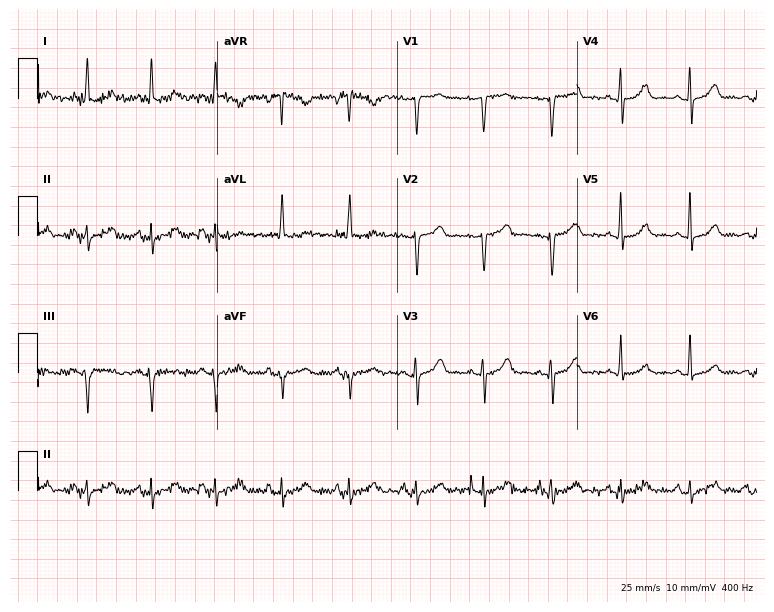
12-lead ECG from a female, 60 years old. No first-degree AV block, right bundle branch block, left bundle branch block, sinus bradycardia, atrial fibrillation or sinus tachycardia recorded for this tracing.